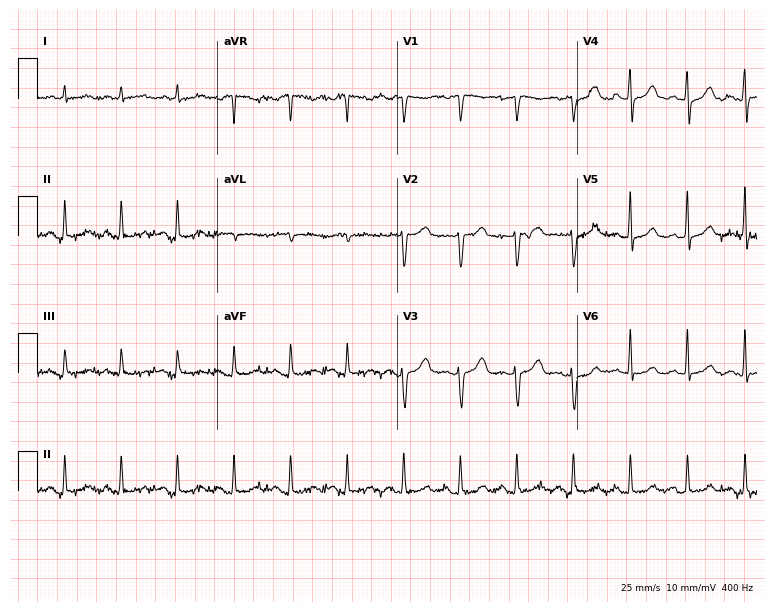
Standard 12-lead ECG recorded from a 65-year-old man. The tracing shows sinus tachycardia (a sinus rate of 100 beats per minute or more).